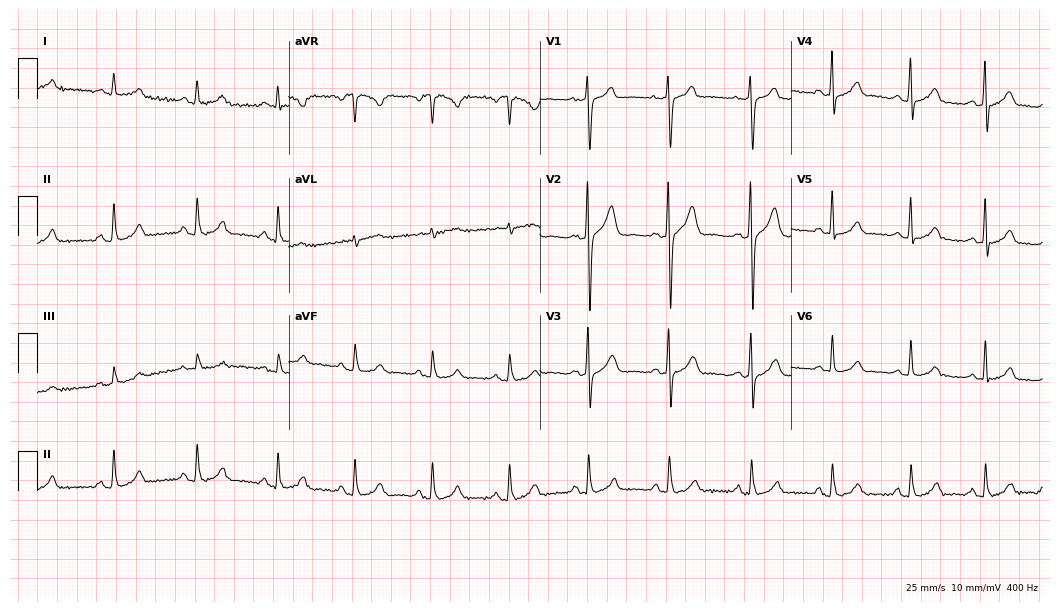
12-lead ECG from a man, 37 years old. Recorded interpretation: within normal limits.